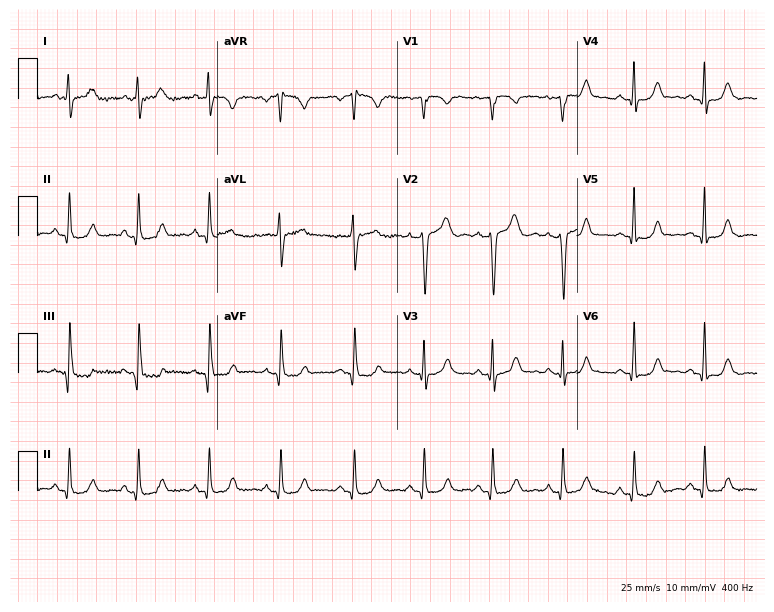
Electrocardiogram (7.3-second recording at 400 Hz), a female, 43 years old. Of the six screened findings (first-degree AV block, right bundle branch block, left bundle branch block, sinus bradycardia, atrial fibrillation, sinus tachycardia), none is recorded.